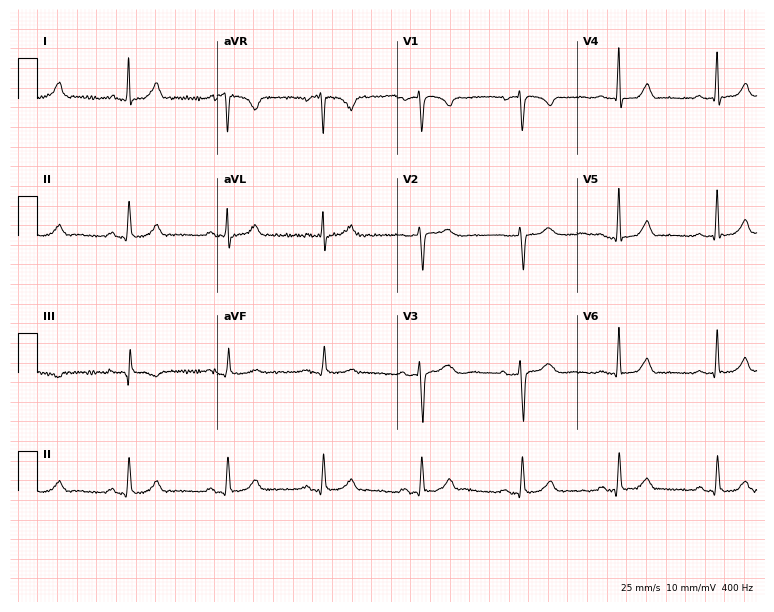
Resting 12-lead electrocardiogram. Patient: a female, 42 years old. Read as a normal ECG.